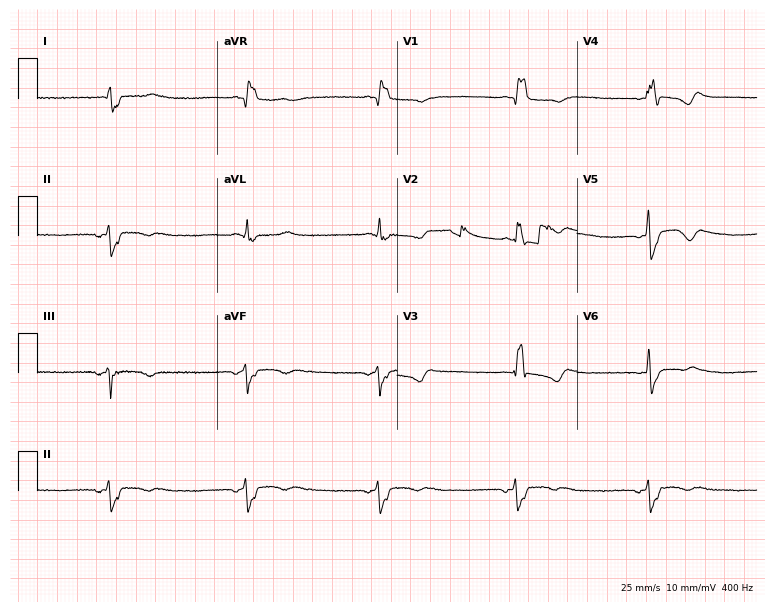
ECG — a 43-year-old male. Screened for six findings — first-degree AV block, right bundle branch block, left bundle branch block, sinus bradycardia, atrial fibrillation, sinus tachycardia — none is recorded.